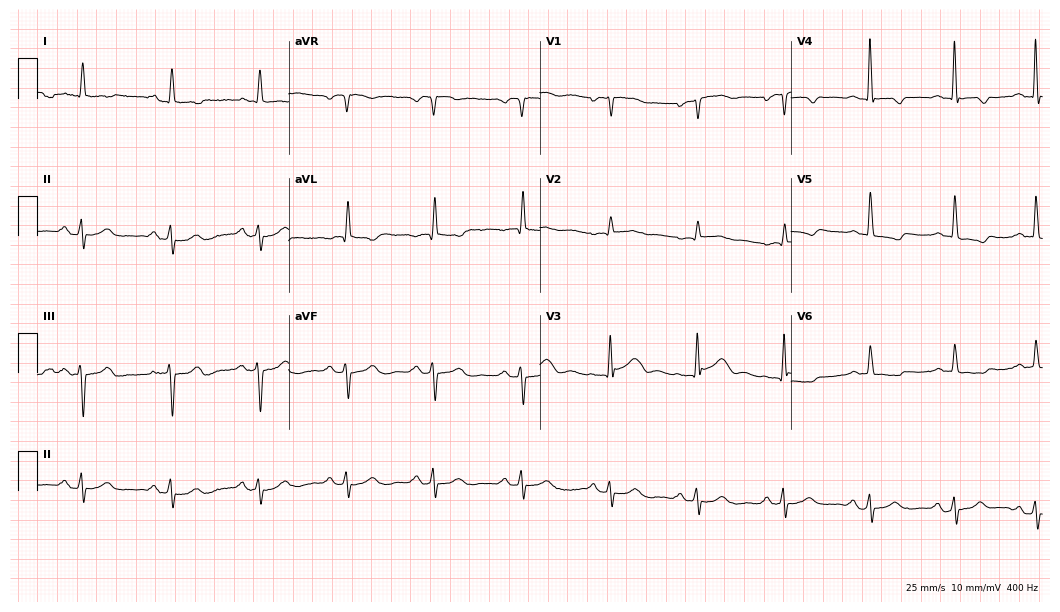
Standard 12-lead ECG recorded from a man, 74 years old. None of these six findings is recorded: first-degree AV block, right bundle branch block (RBBB), left bundle branch block (LBBB), sinus bradycardia, atrial fibrillation (AF), sinus tachycardia. Only these six findings were labelled.